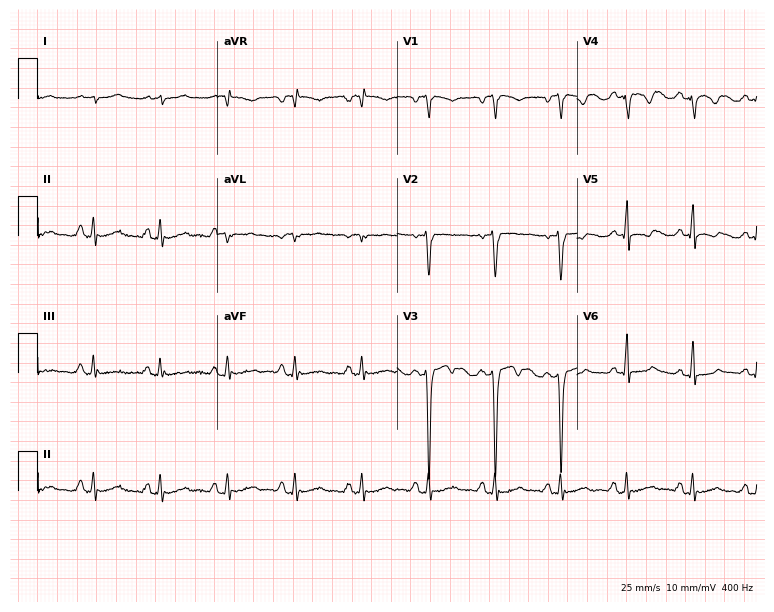
ECG — a male patient, 58 years old. Screened for six findings — first-degree AV block, right bundle branch block (RBBB), left bundle branch block (LBBB), sinus bradycardia, atrial fibrillation (AF), sinus tachycardia — none is recorded.